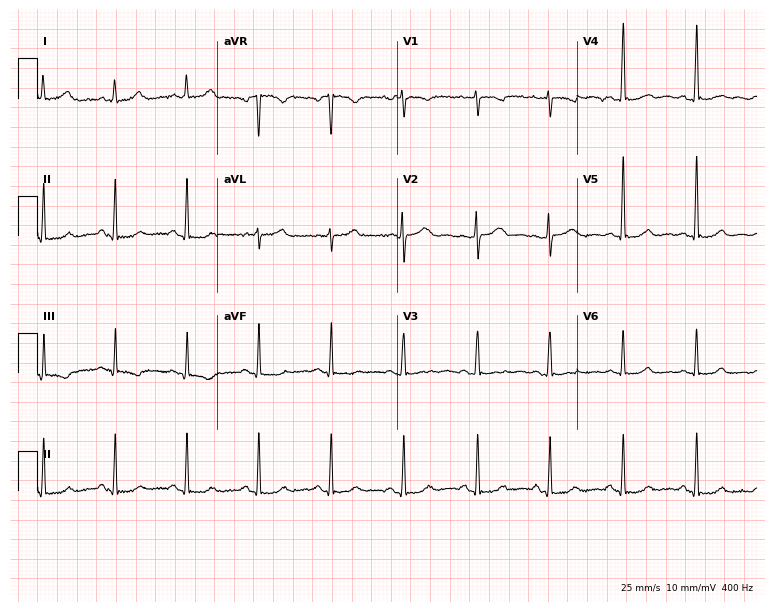
Standard 12-lead ECG recorded from a female, 47 years old (7.3-second recording at 400 Hz). Read as a normal ECG.